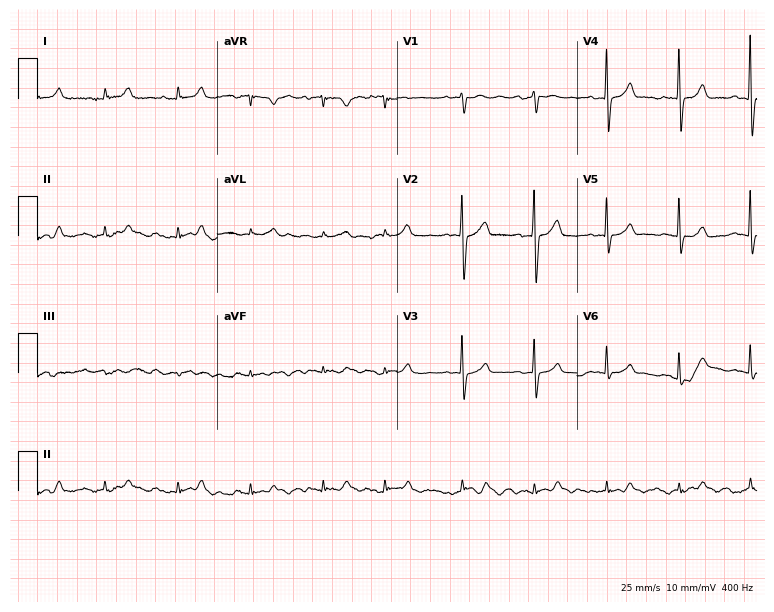
Standard 12-lead ECG recorded from an 81-year-old woman (7.3-second recording at 400 Hz). The tracing shows atrial fibrillation (AF).